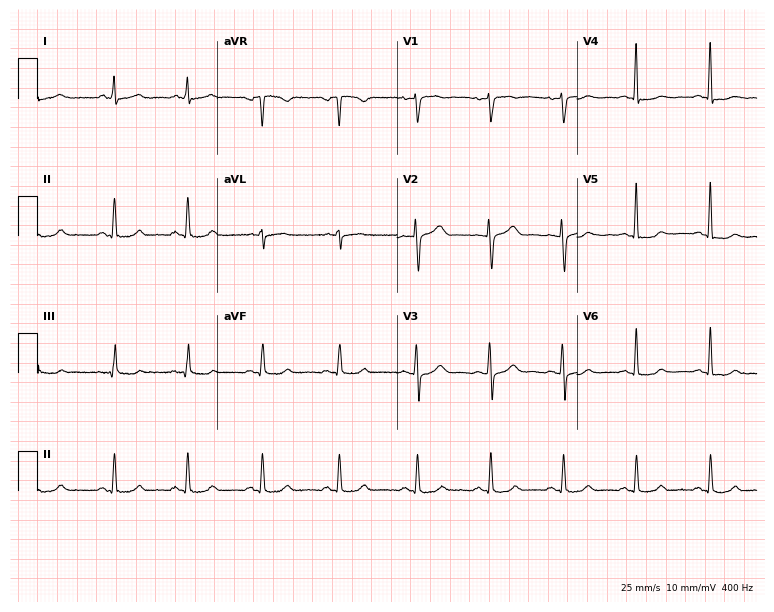
Electrocardiogram, a 46-year-old female patient. Of the six screened findings (first-degree AV block, right bundle branch block (RBBB), left bundle branch block (LBBB), sinus bradycardia, atrial fibrillation (AF), sinus tachycardia), none is recorded. Other findings, if any, are not listed.